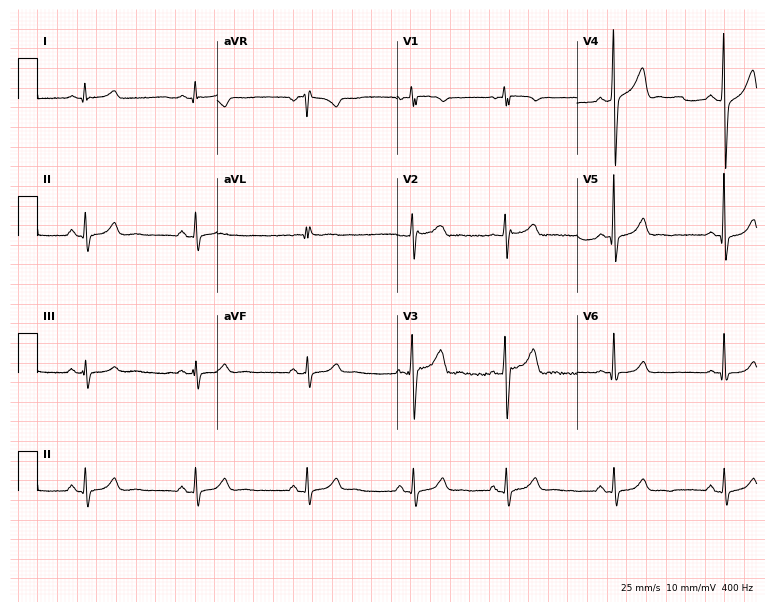
Electrocardiogram (7.3-second recording at 400 Hz), a male patient, 35 years old. Overall reading on record: normal ECG.